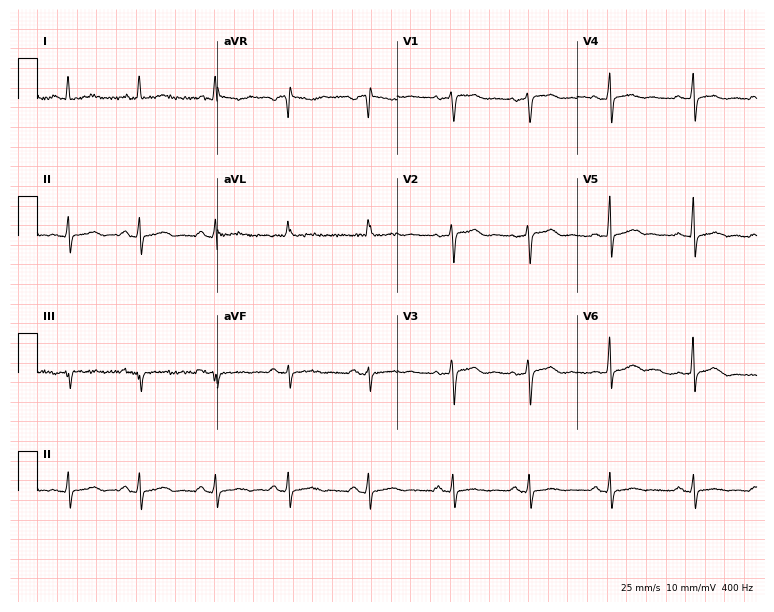
Standard 12-lead ECG recorded from a 42-year-old female (7.3-second recording at 400 Hz). Read as a normal ECG.